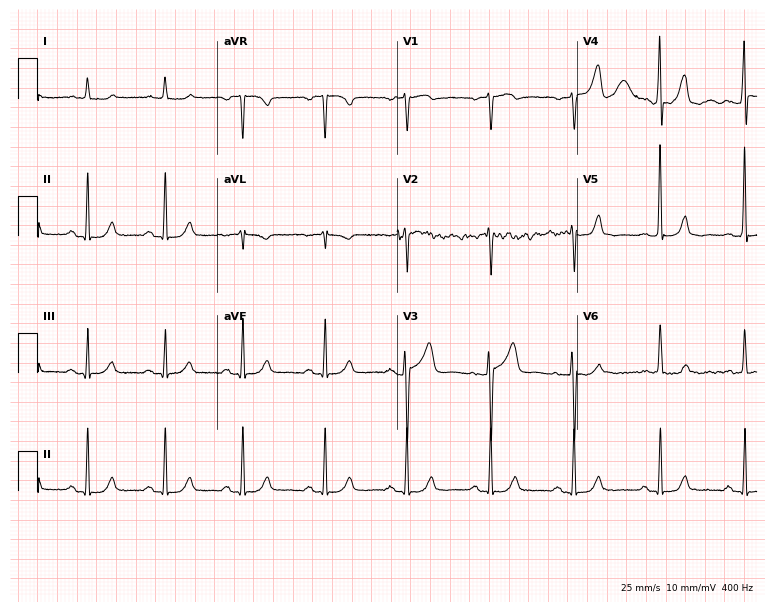
Standard 12-lead ECG recorded from a 70-year-old woman. None of these six findings is recorded: first-degree AV block, right bundle branch block (RBBB), left bundle branch block (LBBB), sinus bradycardia, atrial fibrillation (AF), sinus tachycardia.